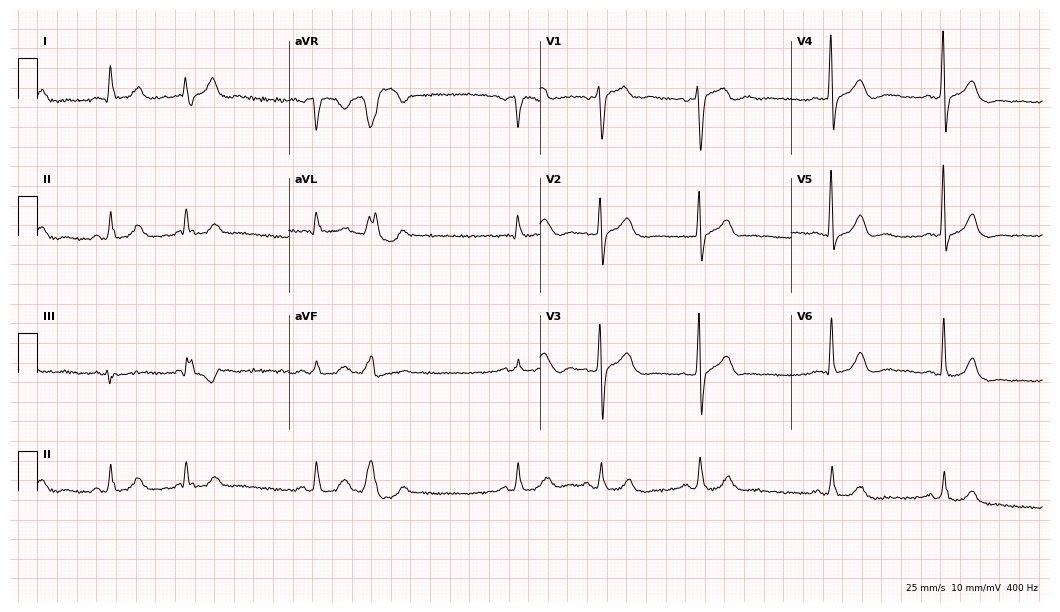
Standard 12-lead ECG recorded from a male, 70 years old (10.2-second recording at 400 Hz). None of these six findings is recorded: first-degree AV block, right bundle branch block (RBBB), left bundle branch block (LBBB), sinus bradycardia, atrial fibrillation (AF), sinus tachycardia. Other findings, if any, are not listed.